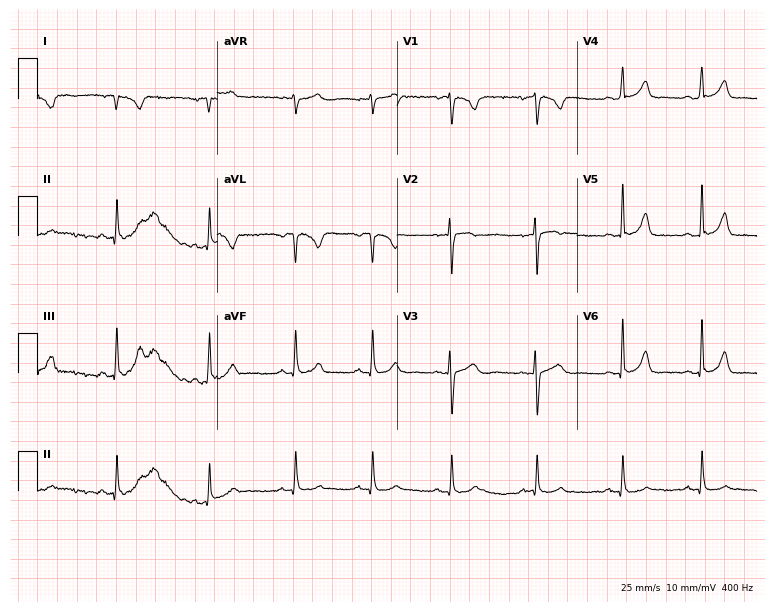
ECG (7.3-second recording at 400 Hz) — a 20-year-old female. Screened for six findings — first-degree AV block, right bundle branch block, left bundle branch block, sinus bradycardia, atrial fibrillation, sinus tachycardia — none is recorded. Other findings, if any, are not listed.